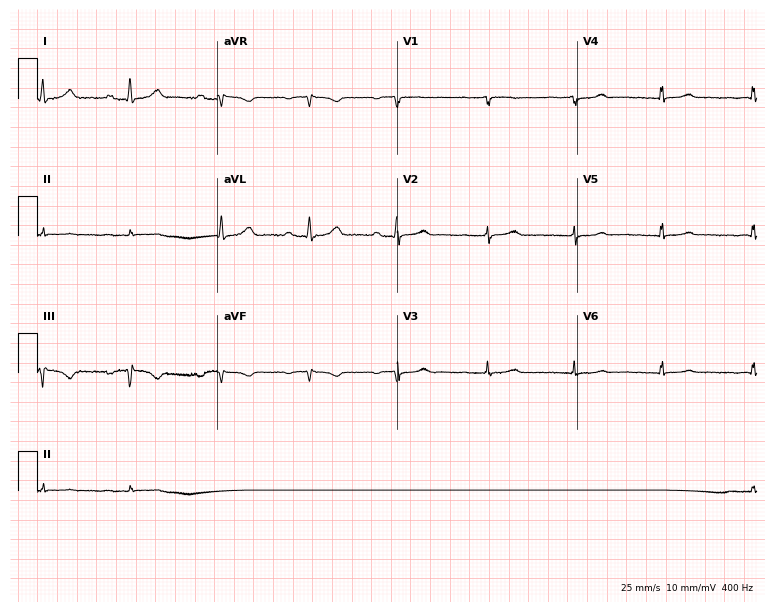
ECG (7.3-second recording at 400 Hz) — a 27-year-old female. Screened for six findings — first-degree AV block, right bundle branch block (RBBB), left bundle branch block (LBBB), sinus bradycardia, atrial fibrillation (AF), sinus tachycardia — none is recorded.